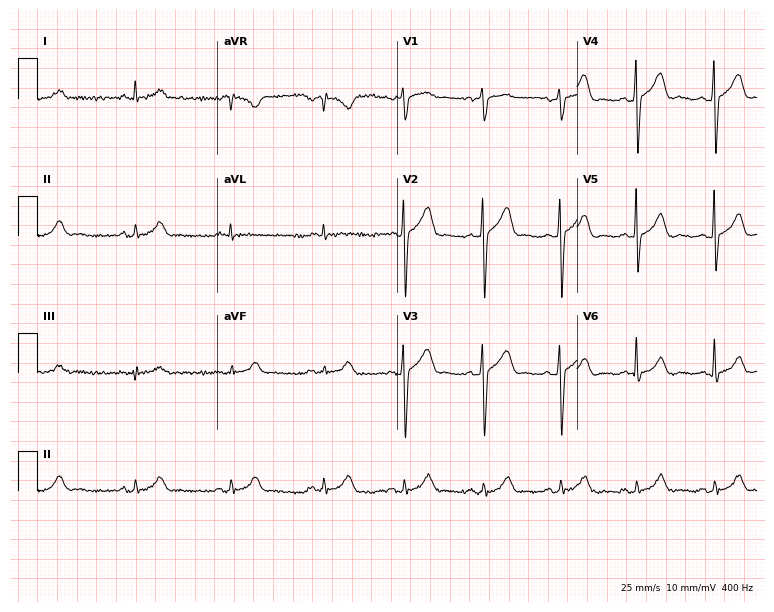
12-lead ECG from a male, 63 years old. Labelled as a normal ECG.